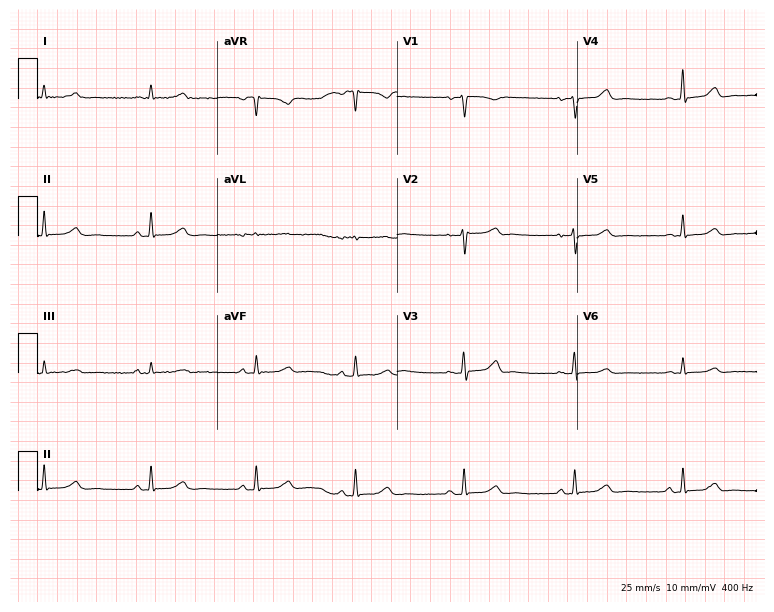
ECG (7.3-second recording at 400 Hz) — a female, 49 years old. Screened for six findings — first-degree AV block, right bundle branch block (RBBB), left bundle branch block (LBBB), sinus bradycardia, atrial fibrillation (AF), sinus tachycardia — none is recorded. Other findings, if any, are not listed.